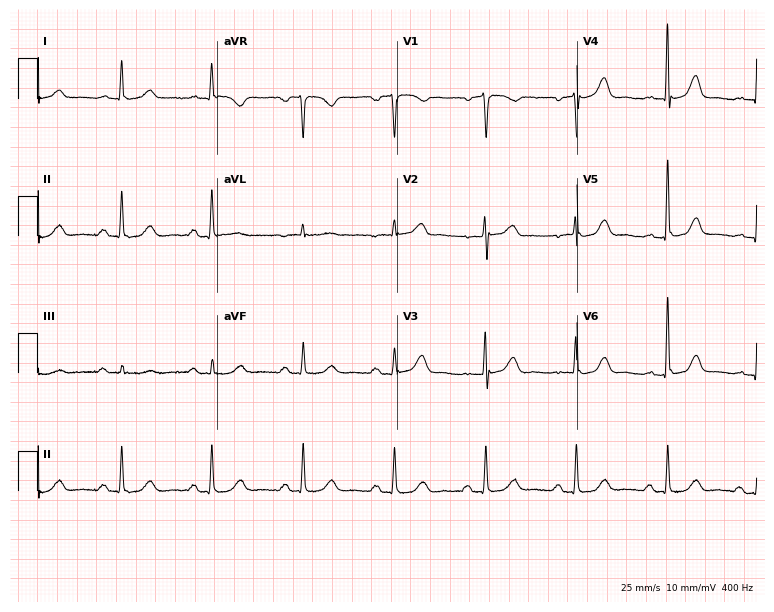
Resting 12-lead electrocardiogram (7.3-second recording at 400 Hz). Patient: an 80-year-old male. None of these six findings is recorded: first-degree AV block, right bundle branch block, left bundle branch block, sinus bradycardia, atrial fibrillation, sinus tachycardia. Other findings, if any, are not listed.